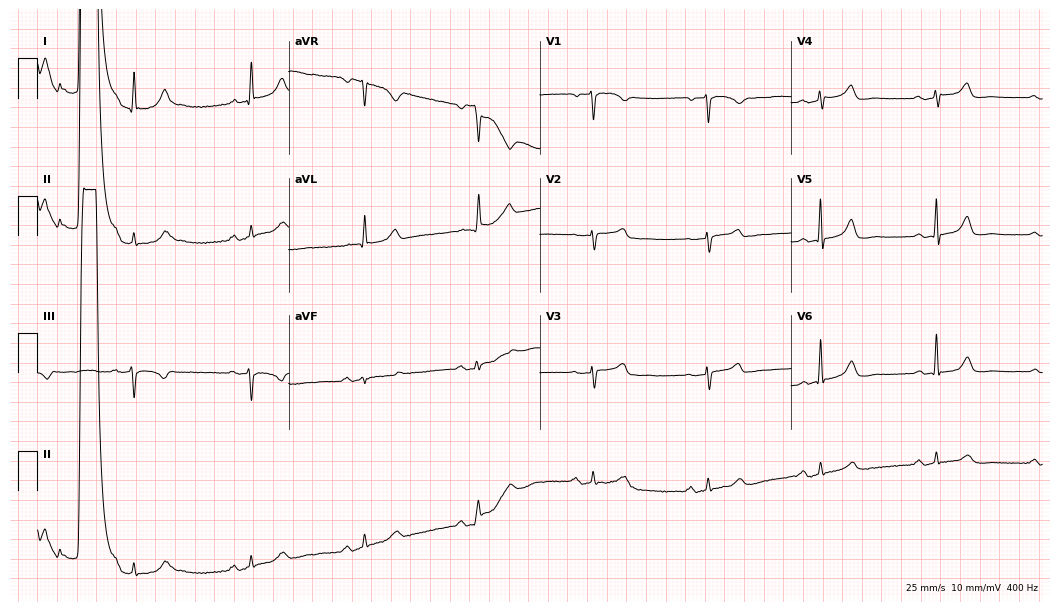
Electrocardiogram, a female, 72 years old. Of the six screened findings (first-degree AV block, right bundle branch block, left bundle branch block, sinus bradycardia, atrial fibrillation, sinus tachycardia), none is recorded.